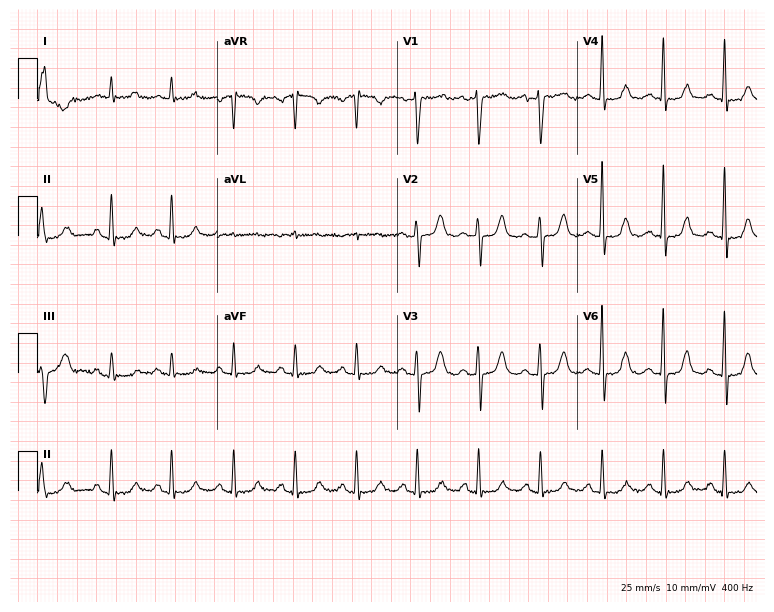
12-lead ECG from a 76-year-old male patient. No first-degree AV block, right bundle branch block (RBBB), left bundle branch block (LBBB), sinus bradycardia, atrial fibrillation (AF) or sinus tachycardia recorded for this tracing.